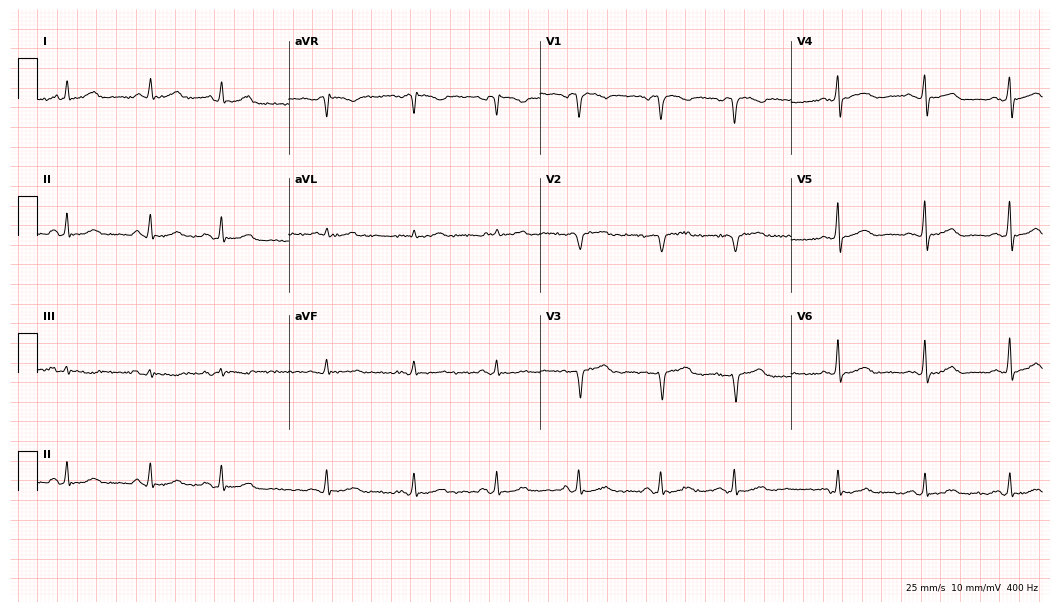
12-lead ECG (10.2-second recording at 400 Hz) from a 79-year-old man. Screened for six findings — first-degree AV block, right bundle branch block, left bundle branch block, sinus bradycardia, atrial fibrillation, sinus tachycardia — none is recorded.